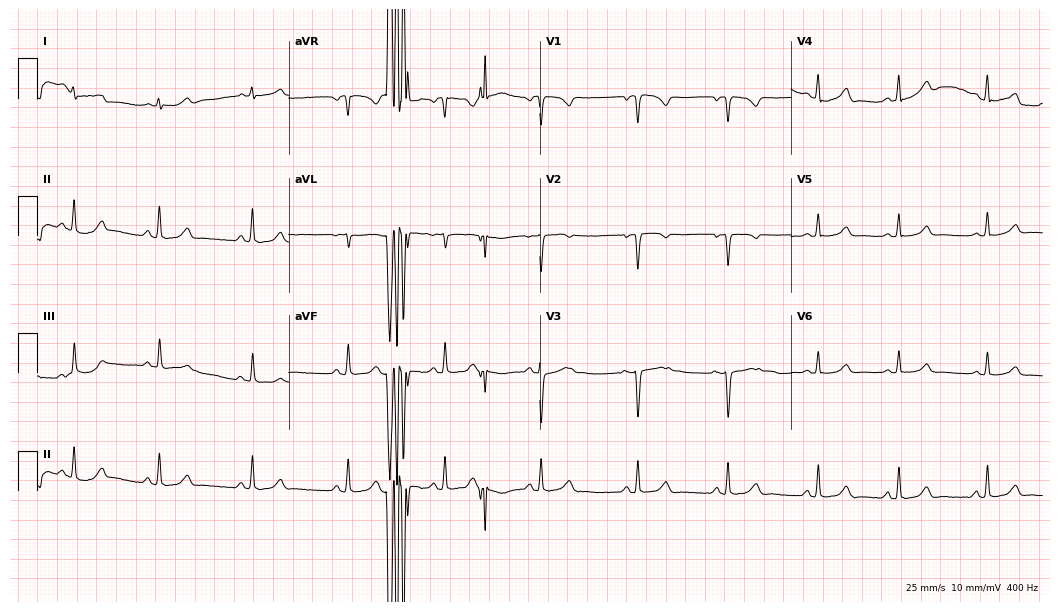
Standard 12-lead ECG recorded from a 21-year-old female patient. Read as a normal ECG.